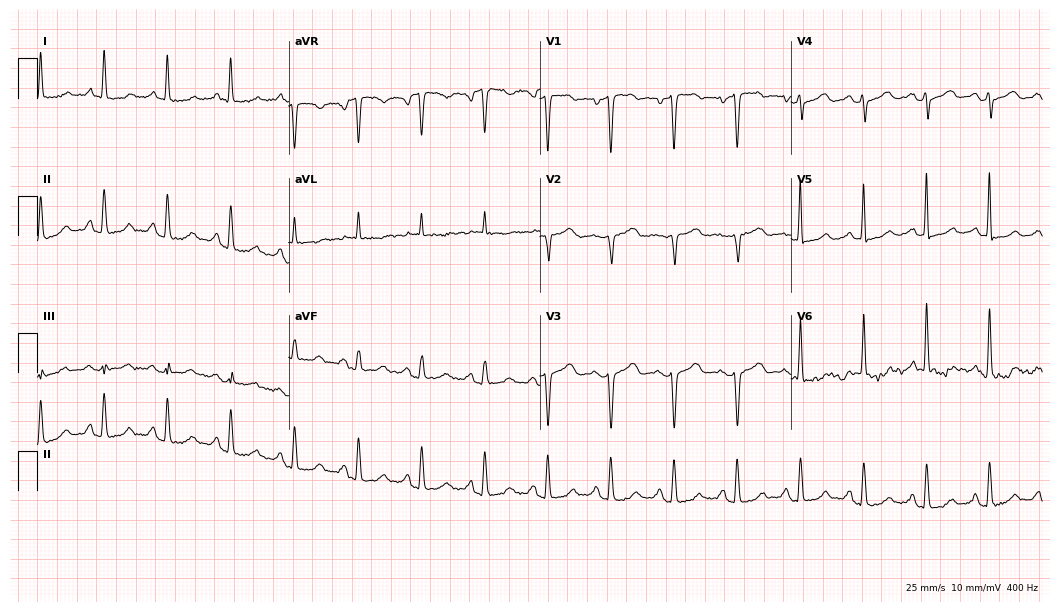
Resting 12-lead electrocardiogram (10.2-second recording at 400 Hz). Patient: an 80-year-old female. Read as a normal ECG.